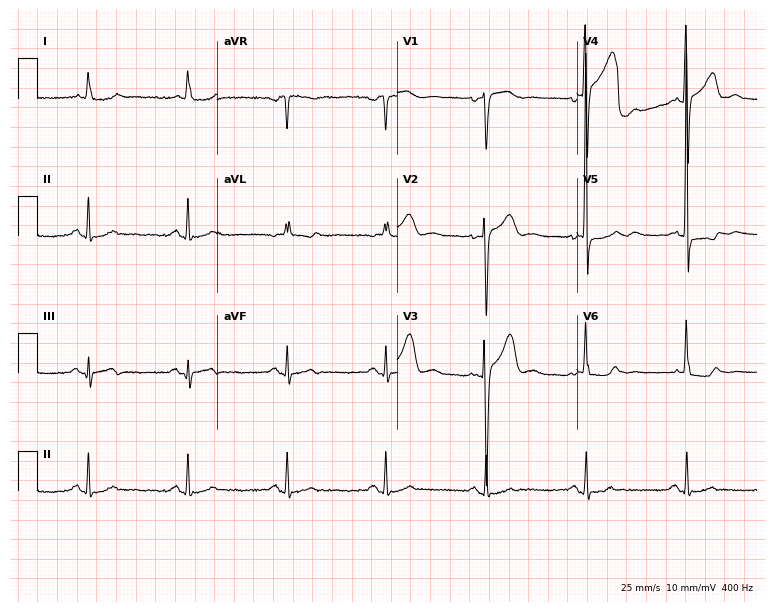
Electrocardiogram, a male patient, 78 years old. Of the six screened findings (first-degree AV block, right bundle branch block, left bundle branch block, sinus bradycardia, atrial fibrillation, sinus tachycardia), none is recorded.